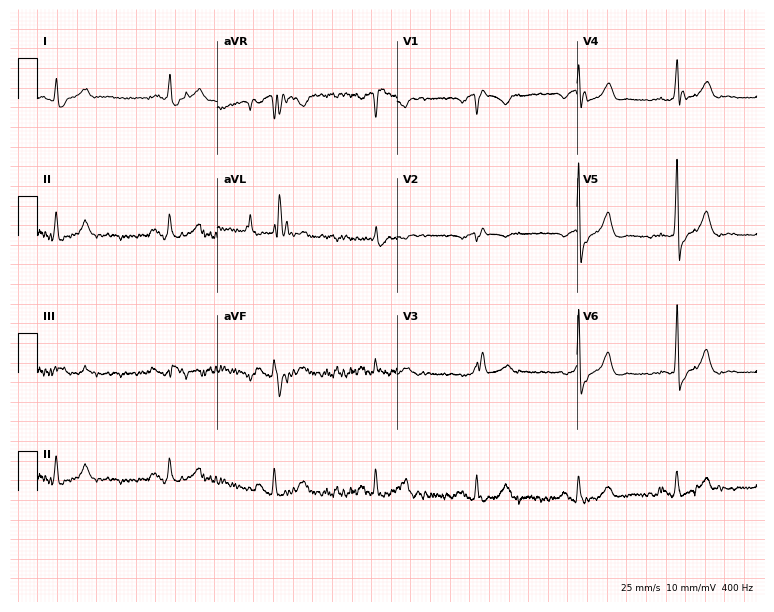
12-lead ECG from a 74-year-old male patient (7.3-second recording at 400 Hz). Shows right bundle branch block (RBBB).